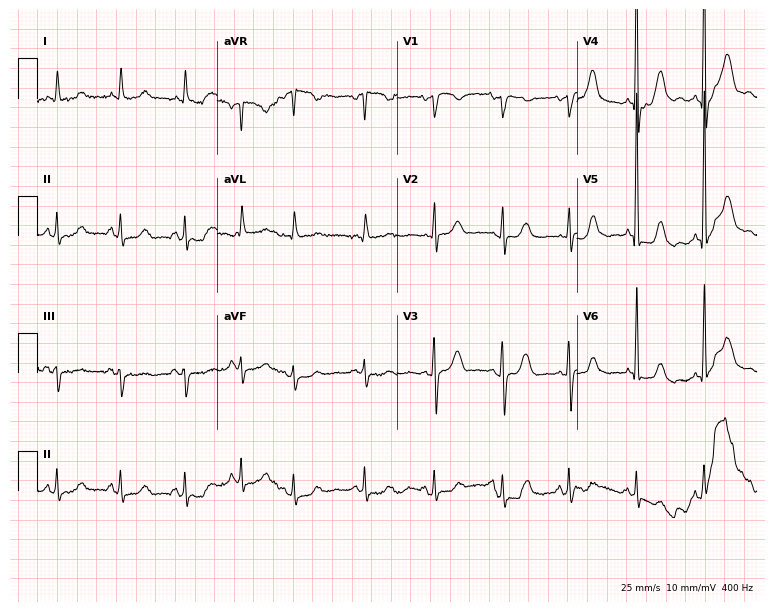
Standard 12-lead ECG recorded from a 74-year-old woman (7.3-second recording at 400 Hz). None of these six findings is recorded: first-degree AV block, right bundle branch block, left bundle branch block, sinus bradycardia, atrial fibrillation, sinus tachycardia.